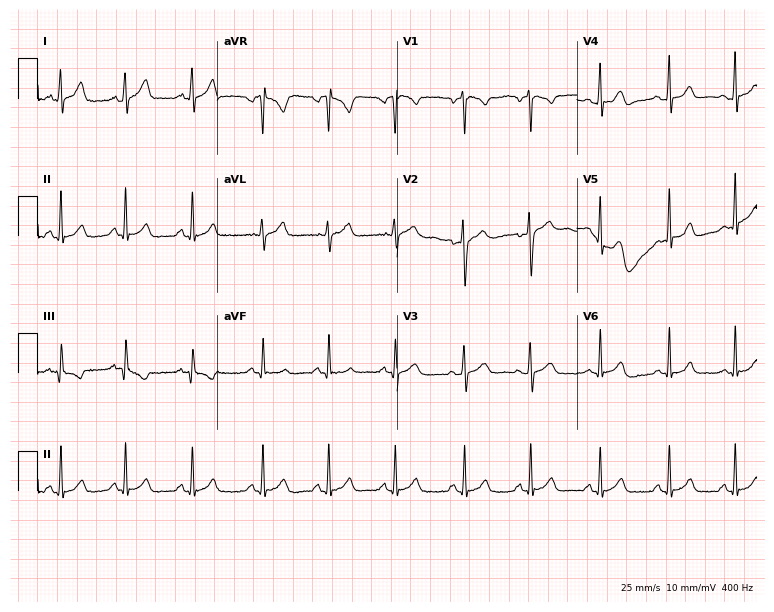
Resting 12-lead electrocardiogram (7.3-second recording at 400 Hz). Patient: a 20-year-old female. Read as a normal ECG.